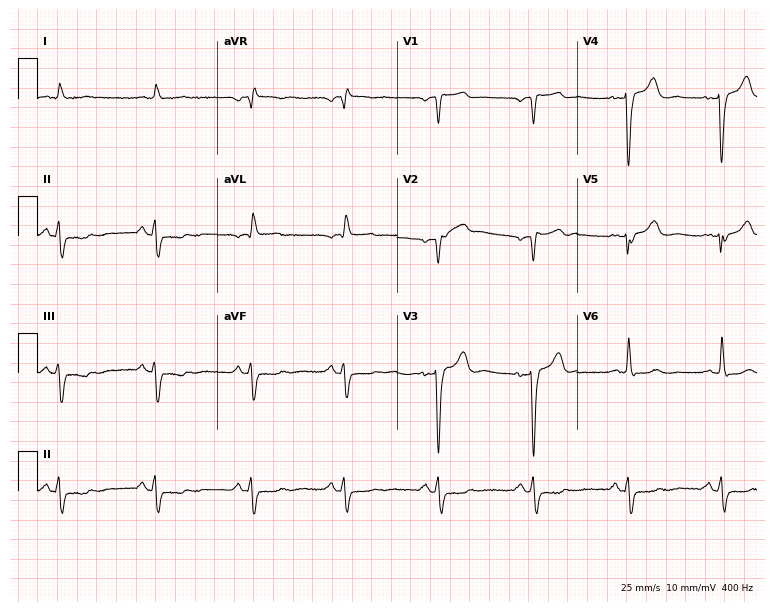
Resting 12-lead electrocardiogram. Patient: an 81-year-old man. None of these six findings is recorded: first-degree AV block, right bundle branch block (RBBB), left bundle branch block (LBBB), sinus bradycardia, atrial fibrillation (AF), sinus tachycardia. Other findings, if any, are not listed.